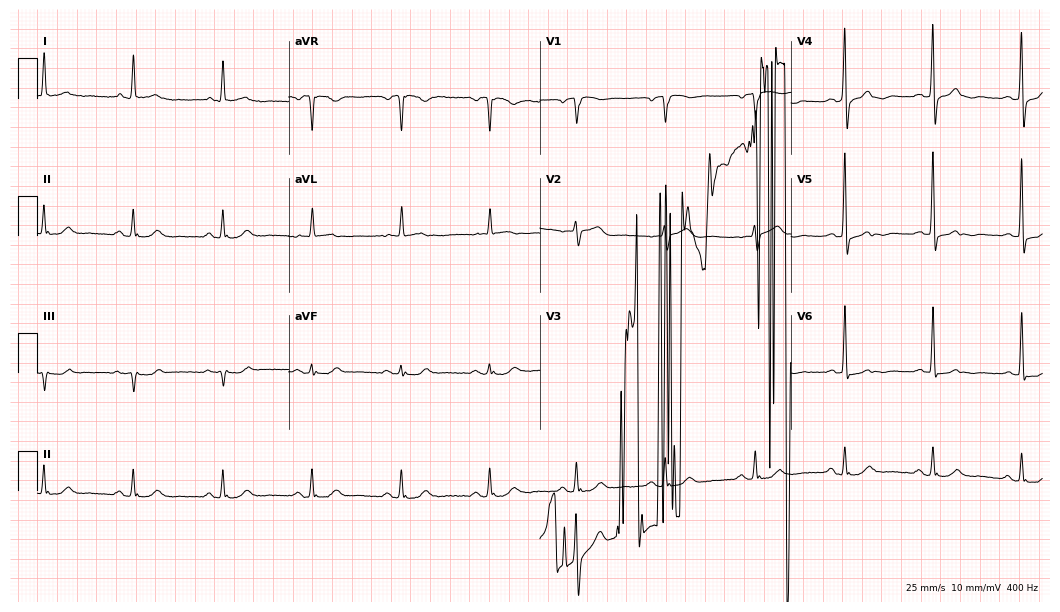
Standard 12-lead ECG recorded from an 83-year-old male. None of these six findings is recorded: first-degree AV block, right bundle branch block, left bundle branch block, sinus bradycardia, atrial fibrillation, sinus tachycardia. Other findings, if any, are not listed.